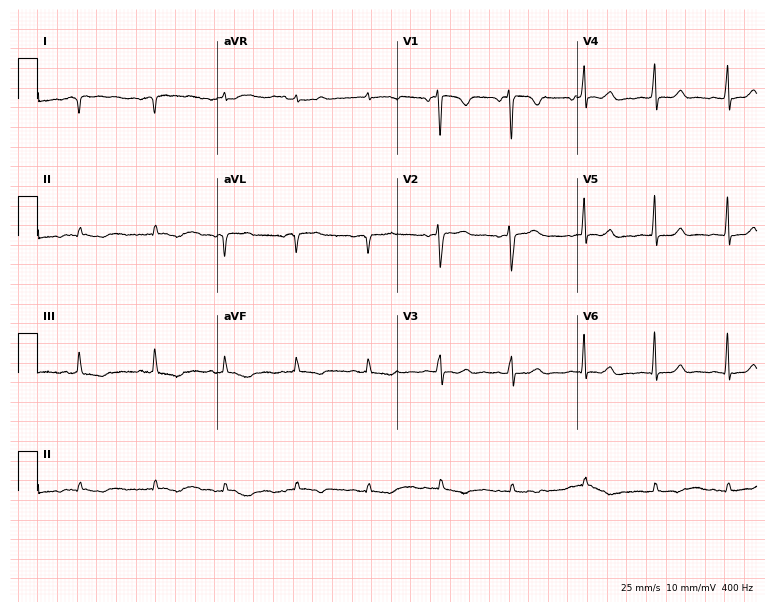
Resting 12-lead electrocardiogram. Patient: a 42-year-old female. None of these six findings is recorded: first-degree AV block, right bundle branch block, left bundle branch block, sinus bradycardia, atrial fibrillation, sinus tachycardia.